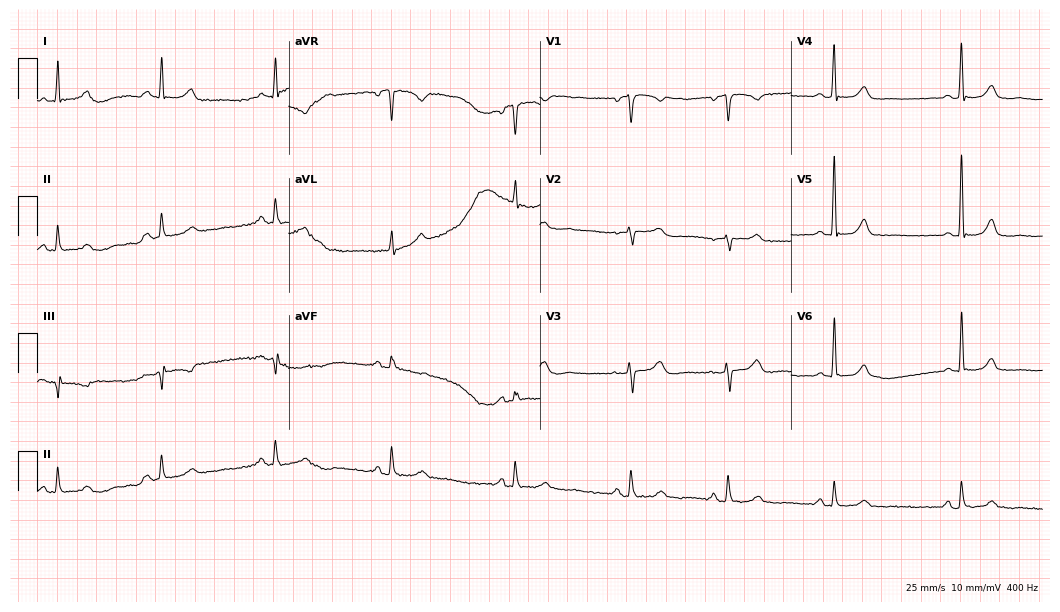
ECG — a female, 77 years old. Labelled as a normal ECG.